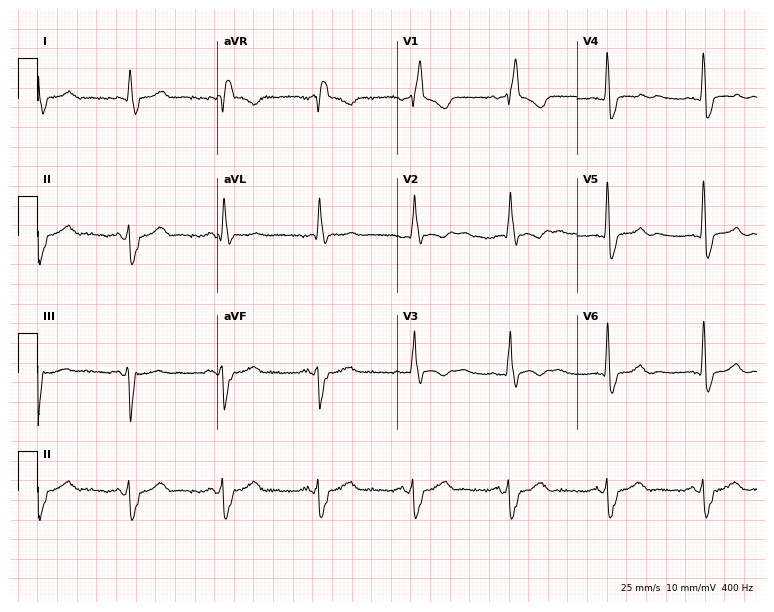
ECG (7.3-second recording at 400 Hz) — a male, 71 years old. Findings include right bundle branch block (RBBB).